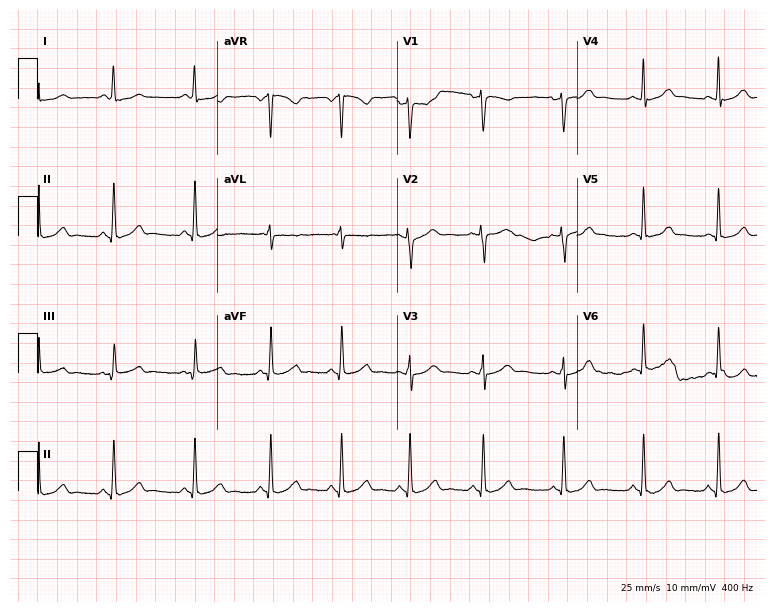
Standard 12-lead ECG recorded from a 26-year-old female. None of these six findings is recorded: first-degree AV block, right bundle branch block, left bundle branch block, sinus bradycardia, atrial fibrillation, sinus tachycardia. Only these six findings were labelled.